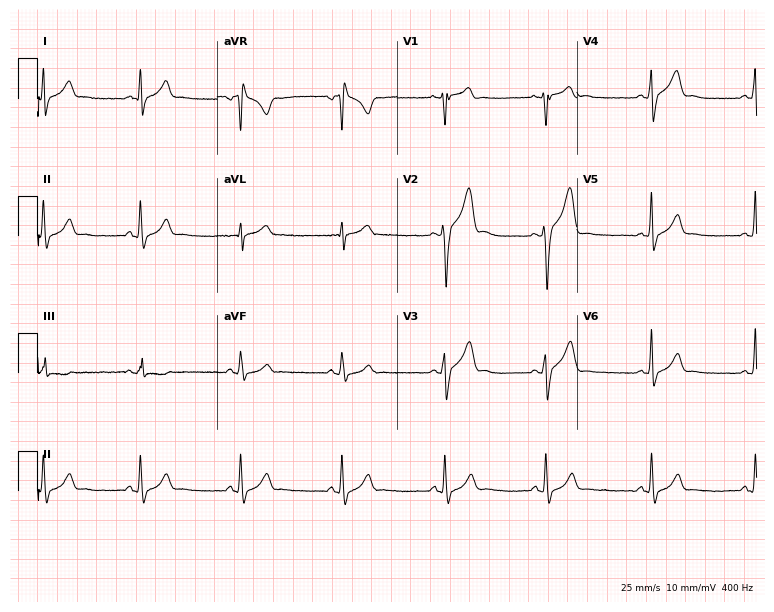
12-lead ECG from a man, 23 years old (7.3-second recording at 400 Hz). Recorded interpretation: within normal limits.